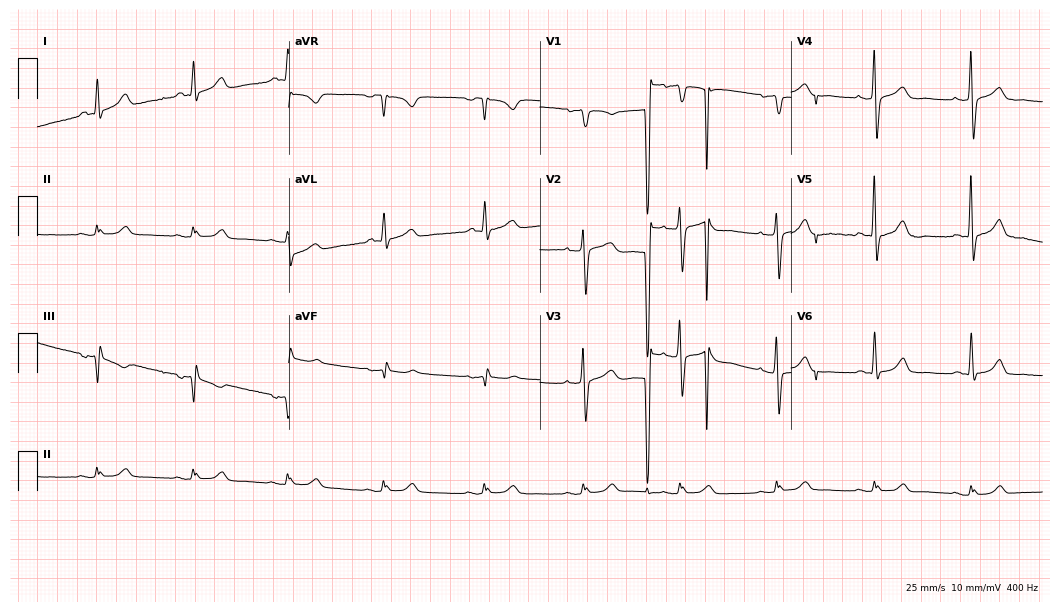
12-lead ECG from a 74-year-old male. Labelled as a normal ECG.